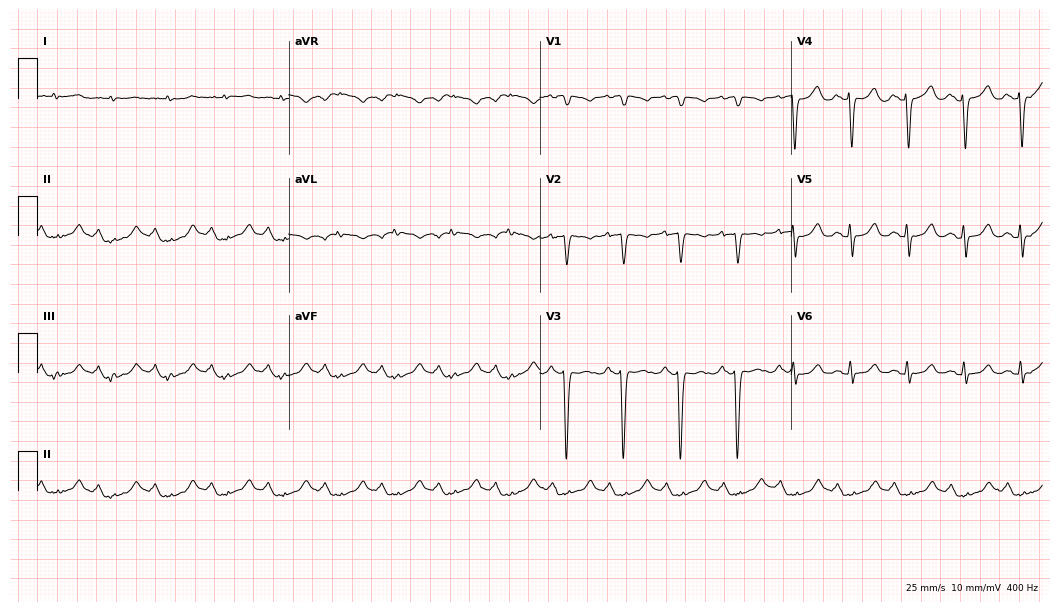
ECG — a male patient, 75 years old. Screened for six findings — first-degree AV block, right bundle branch block, left bundle branch block, sinus bradycardia, atrial fibrillation, sinus tachycardia — none is recorded.